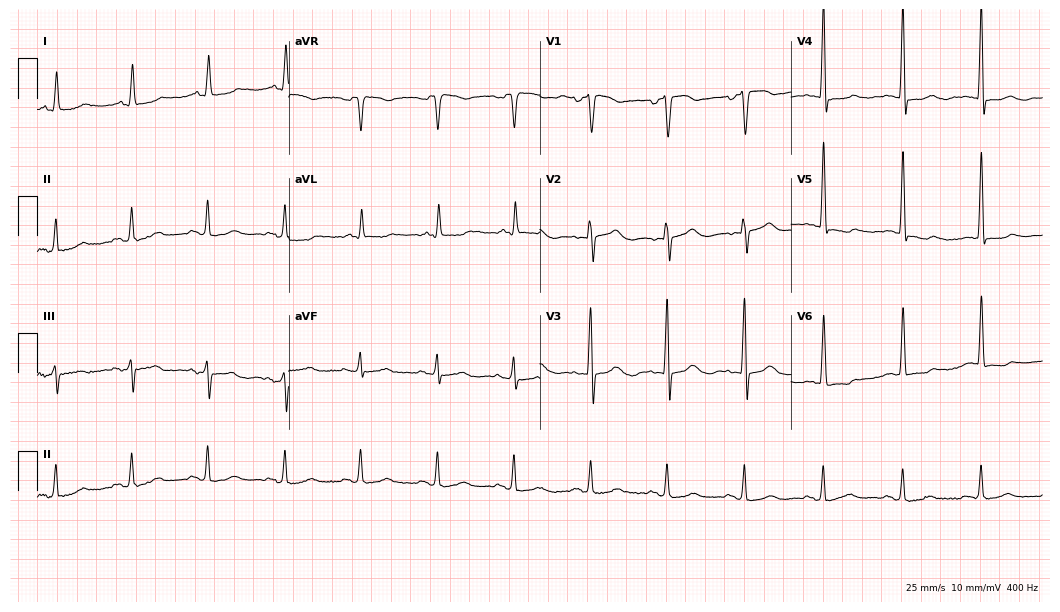
ECG — a woman, 70 years old. Screened for six findings — first-degree AV block, right bundle branch block (RBBB), left bundle branch block (LBBB), sinus bradycardia, atrial fibrillation (AF), sinus tachycardia — none is recorded. Only these six findings were labelled.